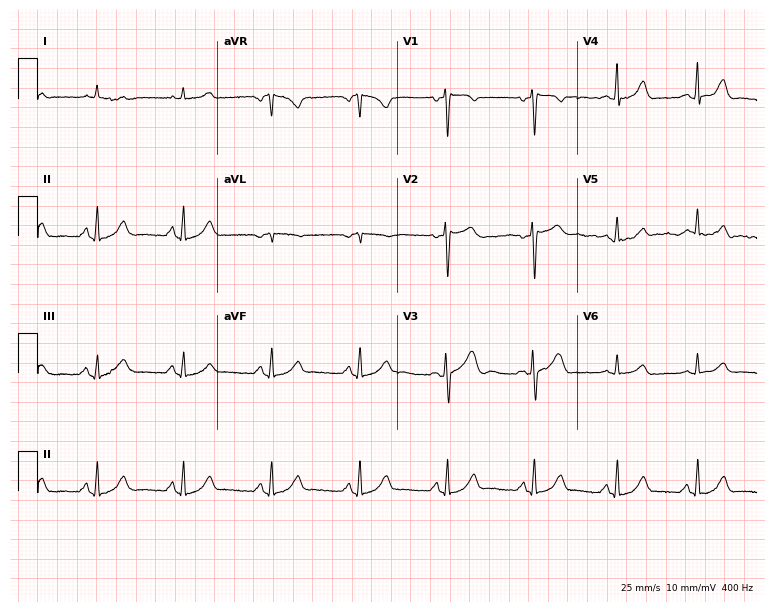
Electrocardiogram (7.3-second recording at 400 Hz), a female, 45 years old. Overall reading on record: normal ECG.